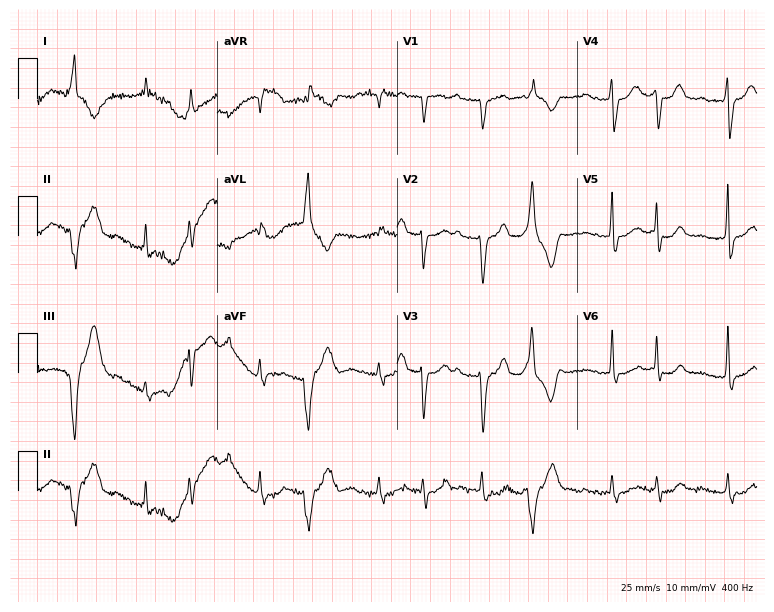
Resting 12-lead electrocardiogram. Patient: an 82-year-old female. The tracing shows first-degree AV block, atrial fibrillation (AF), sinus tachycardia (a sinus rate of 100 beats per minute or more).